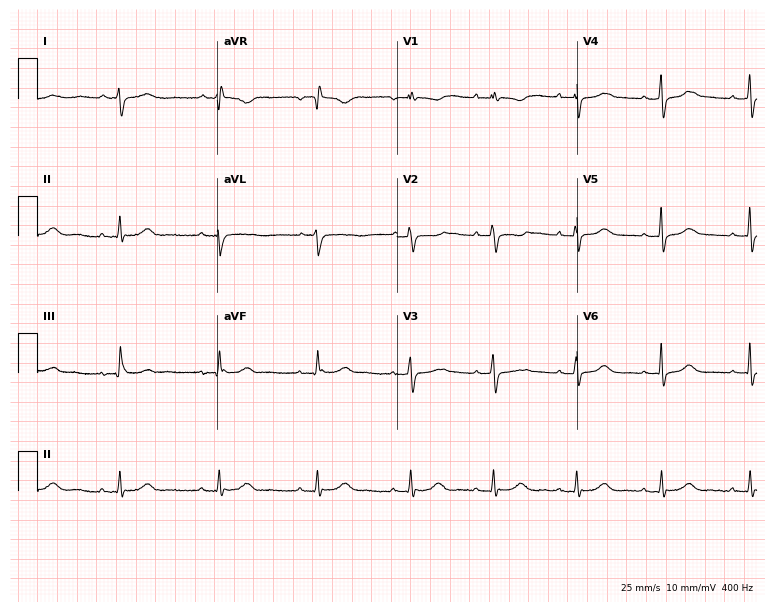
ECG (7.3-second recording at 400 Hz) — a female patient, 26 years old. Screened for six findings — first-degree AV block, right bundle branch block (RBBB), left bundle branch block (LBBB), sinus bradycardia, atrial fibrillation (AF), sinus tachycardia — none is recorded. Findings outside these six are not listed.